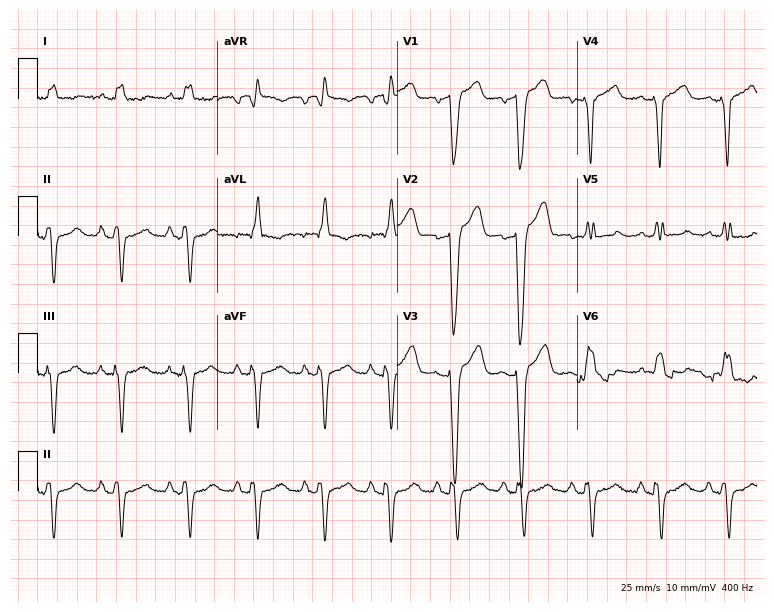
Resting 12-lead electrocardiogram (7.3-second recording at 400 Hz). Patient: a woman, 78 years old. The tracing shows left bundle branch block.